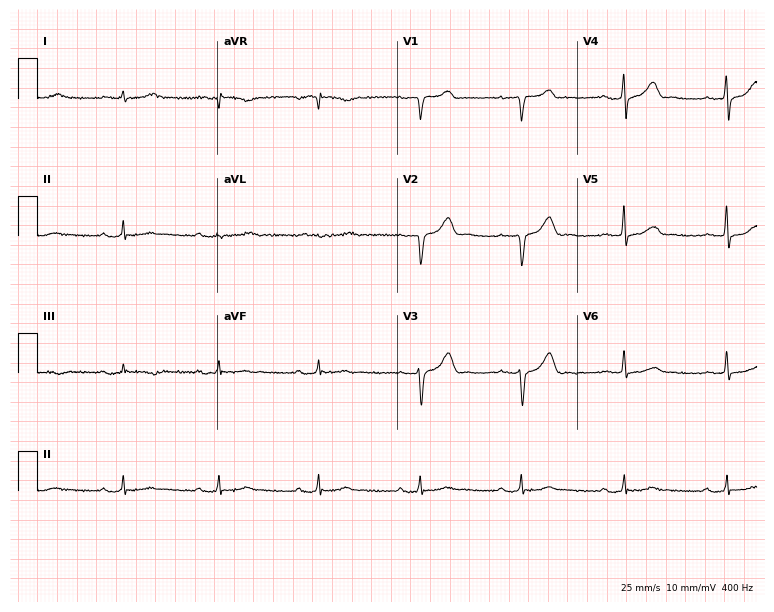
12-lead ECG from a male patient, 76 years old (7.3-second recording at 400 Hz). No first-degree AV block, right bundle branch block, left bundle branch block, sinus bradycardia, atrial fibrillation or sinus tachycardia recorded for this tracing.